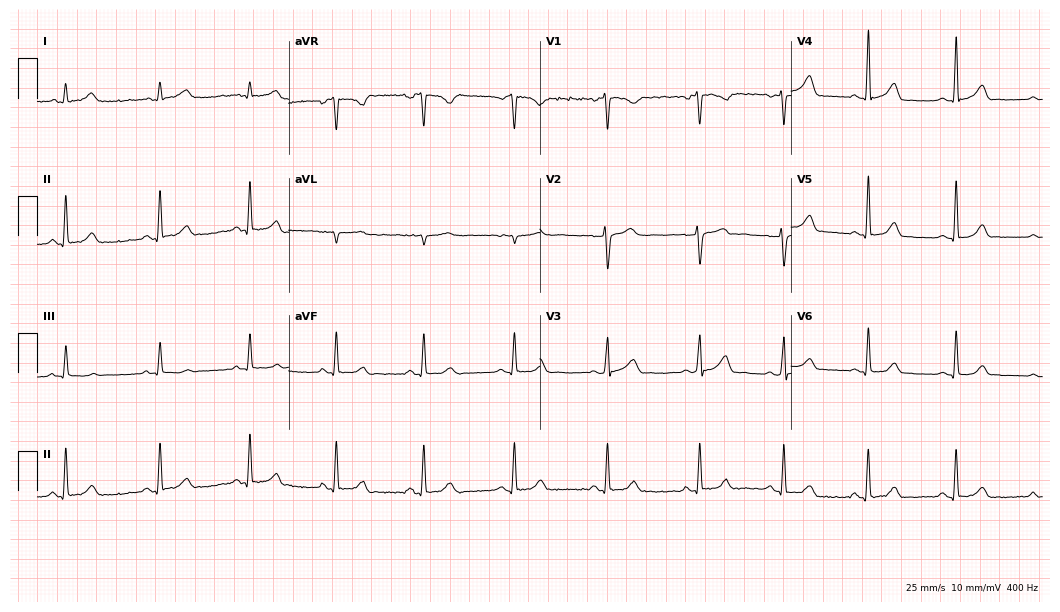
Resting 12-lead electrocardiogram. Patient: a female, 36 years old. Read as a normal ECG.